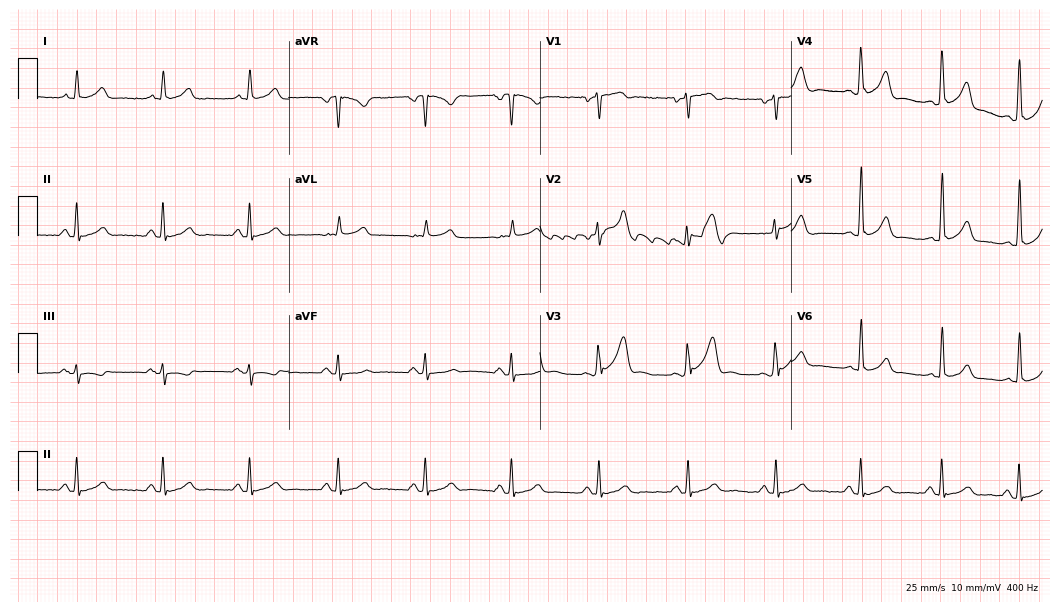
Resting 12-lead electrocardiogram (10.2-second recording at 400 Hz). Patient: a 42-year-old male. Read as a normal ECG.